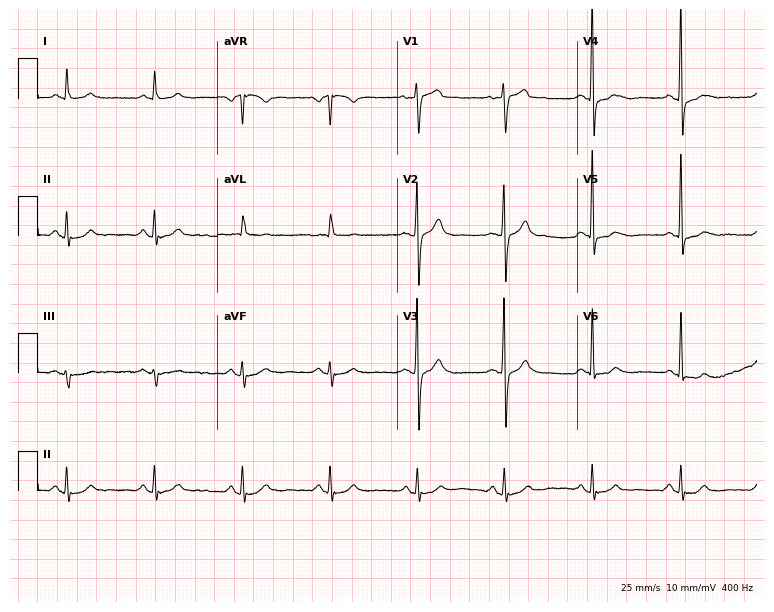
12-lead ECG (7.3-second recording at 400 Hz) from a male, 64 years old. Labelled as a normal ECG.